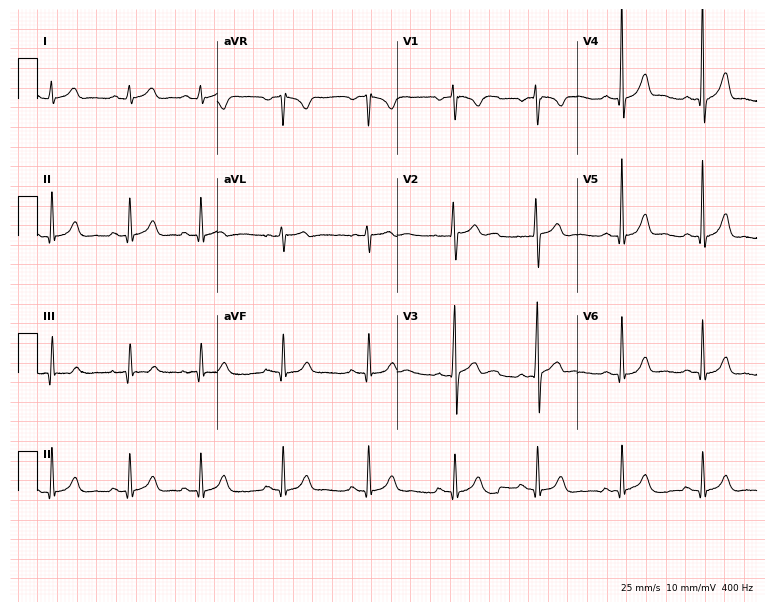
12-lead ECG from a male, 19 years old (7.3-second recording at 400 Hz). Recorded interpretation: within normal limits.